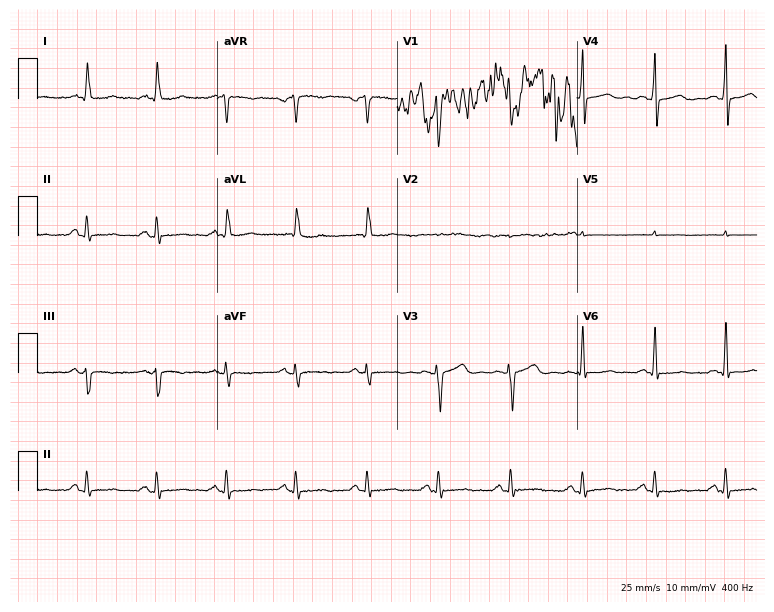
Resting 12-lead electrocardiogram. Patient: a 66-year-old male. None of these six findings is recorded: first-degree AV block, right bundle branch block, left bundle branch block, sinus bradycardia, atrial fibrillation, sinus tachycardia. Findings outside these six are not listed.